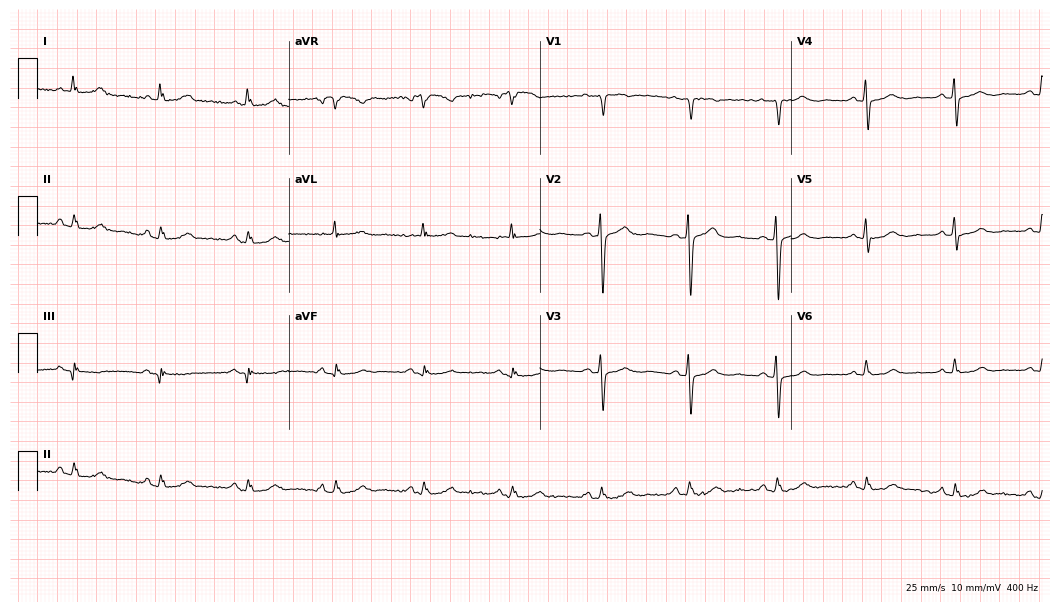
12-lead ECG from a 68-year-old female. Labelled as a normal ECG.